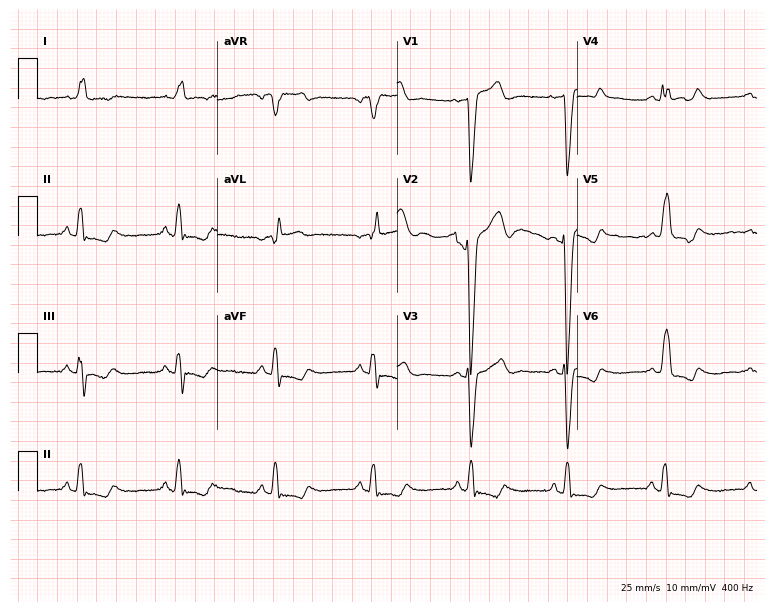
Standard 12-lead ECG recorded from a woman, 74 years old. The tracing shows left bundle branch block.